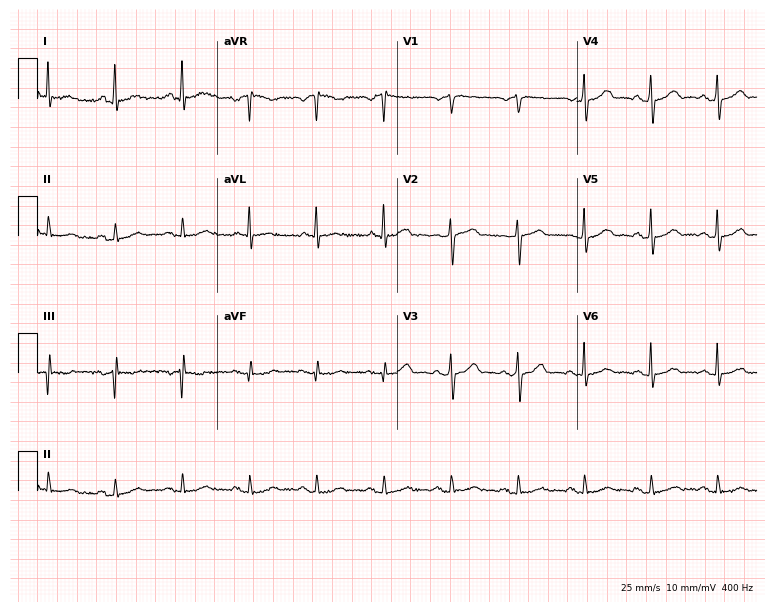
12-lead ECG (7.3-second recording at 400 Hz) from a 55-year-old male. Labelled as a normal ECG.